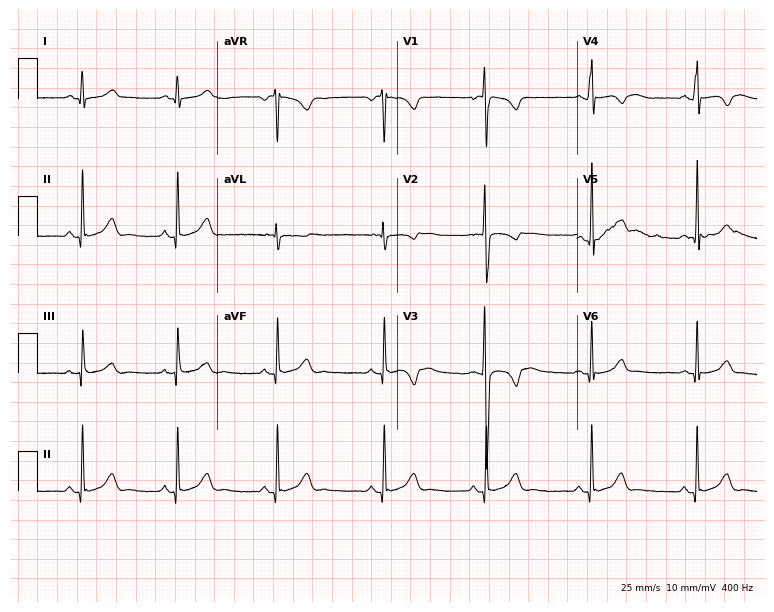
12-lead ECG from a female patient, 23 years old. Labelled as a normal ECG.